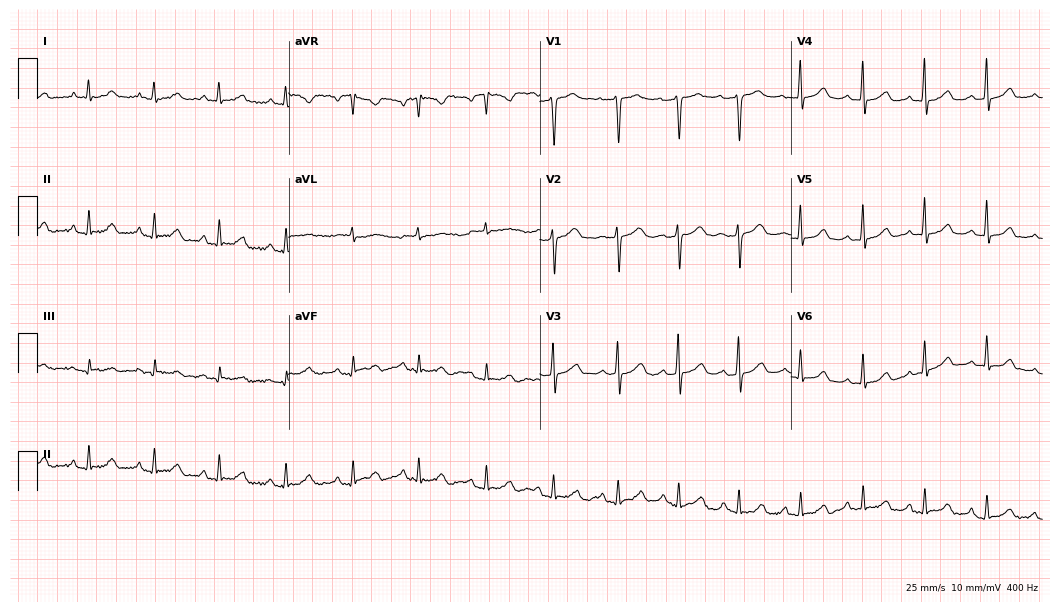
Resting 12-lead electrocardiogram (10.2-second recording at 400 Hz). Patient: a 44-year-old woman. Read as a normal ECG.